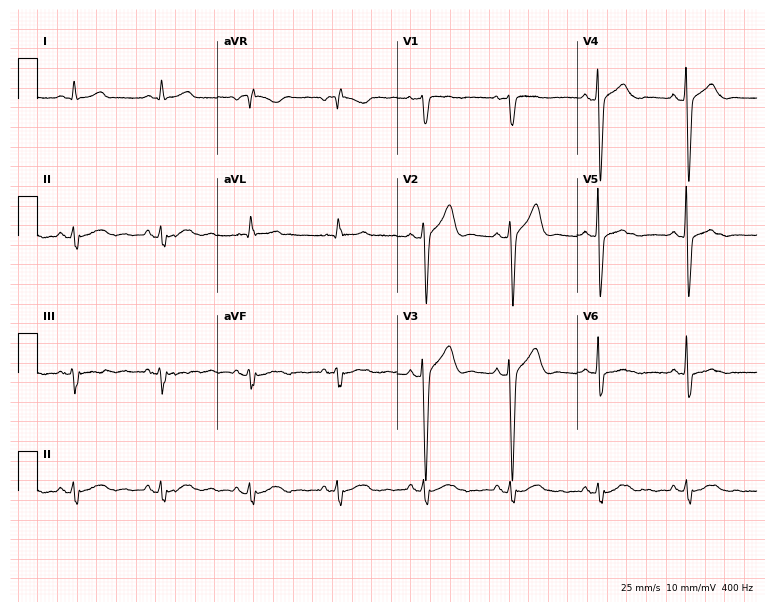
Electrocardiogram, a male patient, 67 years old. Of the six screened findings (first-degree AV block, right bundle branch block, left bundle branch block, sinus bradycardia, atrial fibrillation, sinus tachycardia), none is recorded.